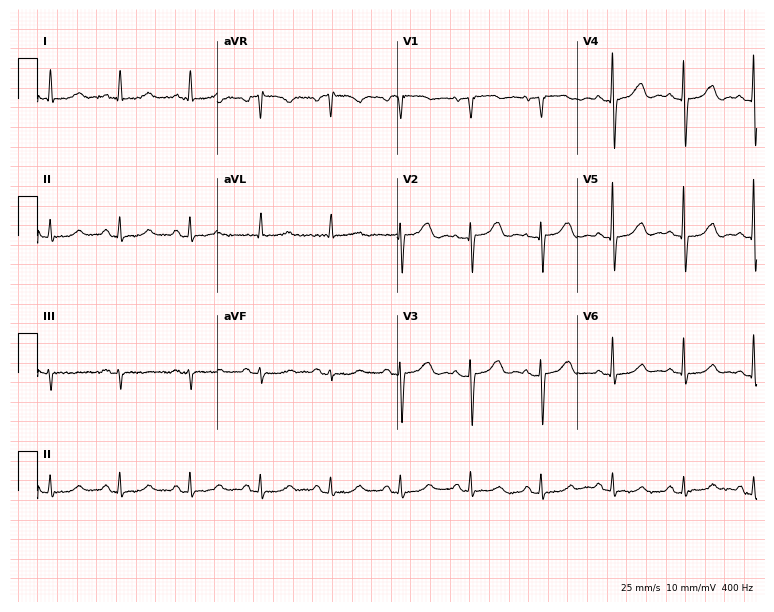
12-lead ECG from a female aged 90 or older (7.3-second recording at 400 Hz). No first-degree AV block, right bundle branch block (RBBB), left bundle branch block (LBBB), sinus bradycardia, atrial fibrillation (AF) or sinus tachycardia recorded for this tracing. Only these six findings were labelled.